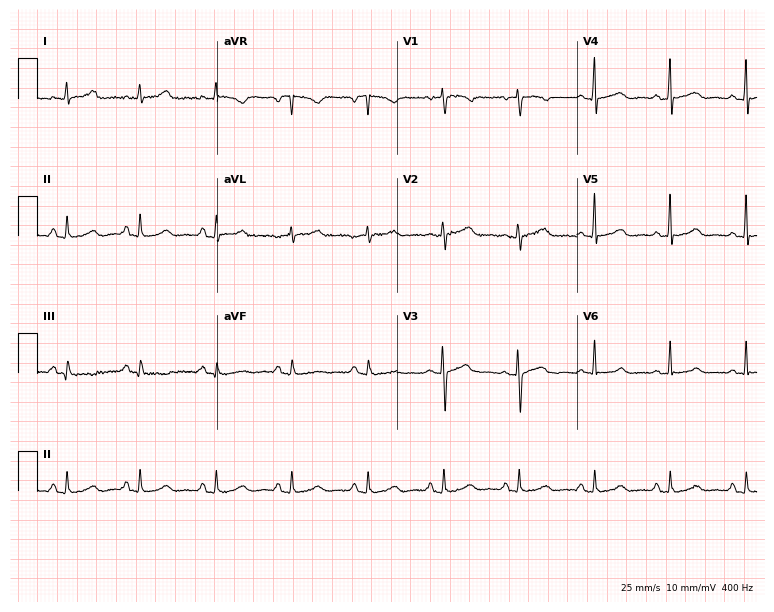
12-lead ECG from a woman, 74 years old. Labelled as a normal ECG.